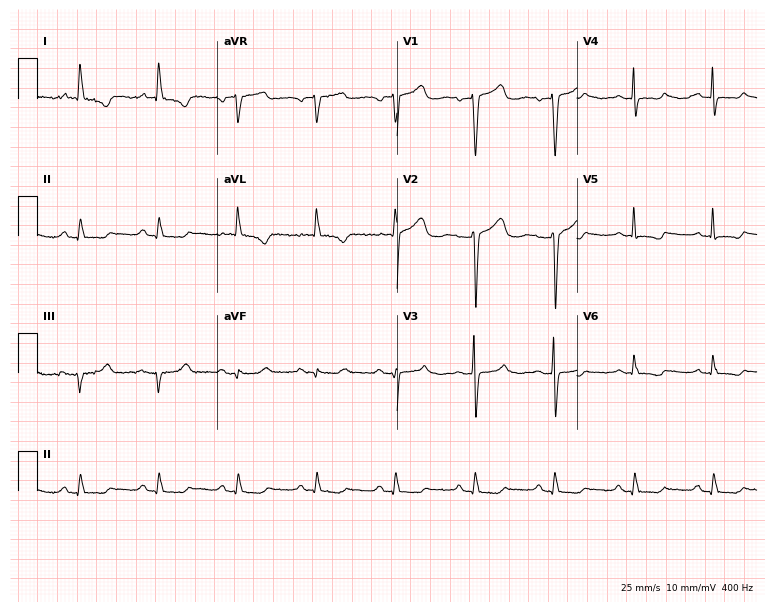
Standard 12-lead ECG recorded from a 66-year-old female patient. None of these six findings is recorded: first-degree AV block, right bundle branch block (RBBB), left bundle branch block (LBBB), sinus bradycardia, atrial fibrillation (AF), sinus tachycardia. Only these six findings were labelled.